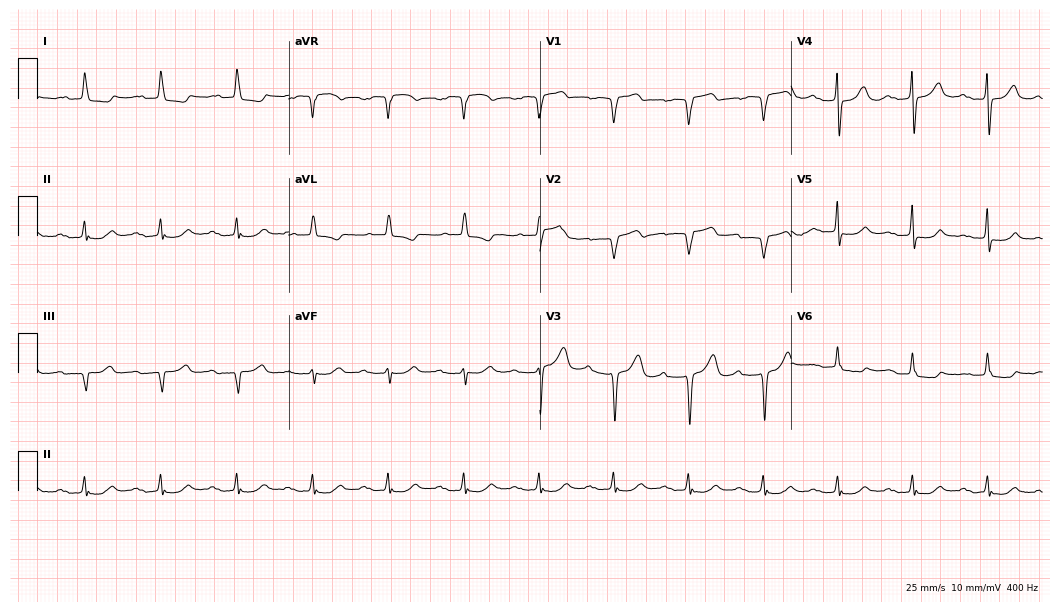
Electrocardiogram, an 83-year-old female. Interpretation includes first-degree AV block.